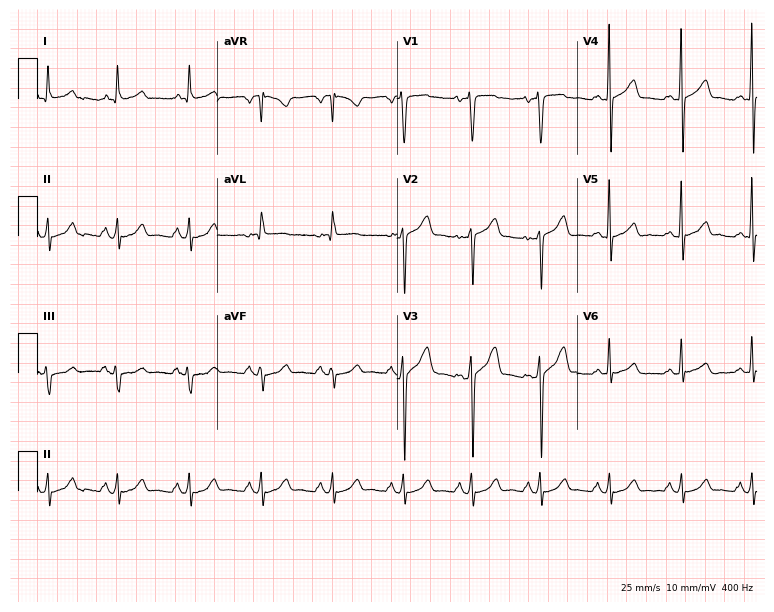
Resting 12-lead electrocardiogram (7.3-second recording at 400 Hz). Patient: a 59-year-old male. None of these six findings is recorded: first-degree AV block, right bundle branch block, left bundle branch block, sinus bradycardia, atrial fibrillation, sinus tachycardia.